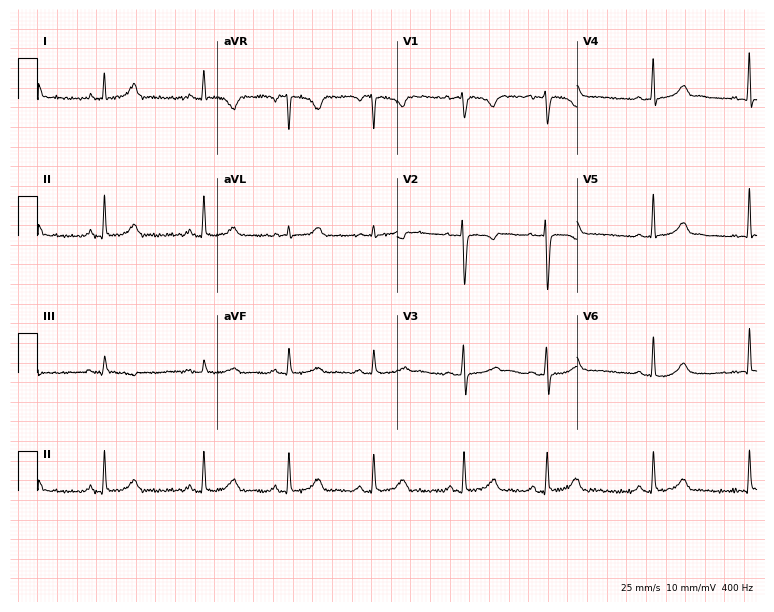
ECG (7.3-second recording at 400 Hz) — a female, 29 years old. Screened for six findings — first-degree AV block, right bundle branch block, left bundle branch block, sinus bradycardia, atrial fibrillation, sinus tachycardia — none is recorded. Findings outside these six are not listed.